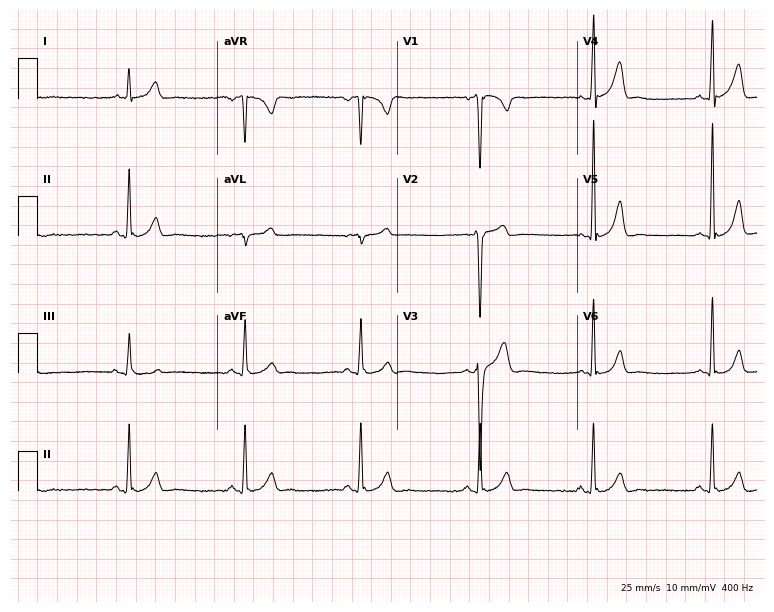
ECG (7.3-second recording at 400 Hz) — a male, 26 years old. Findings include sinus bradycardia (a sinus rate of 50 beats per minute or less).